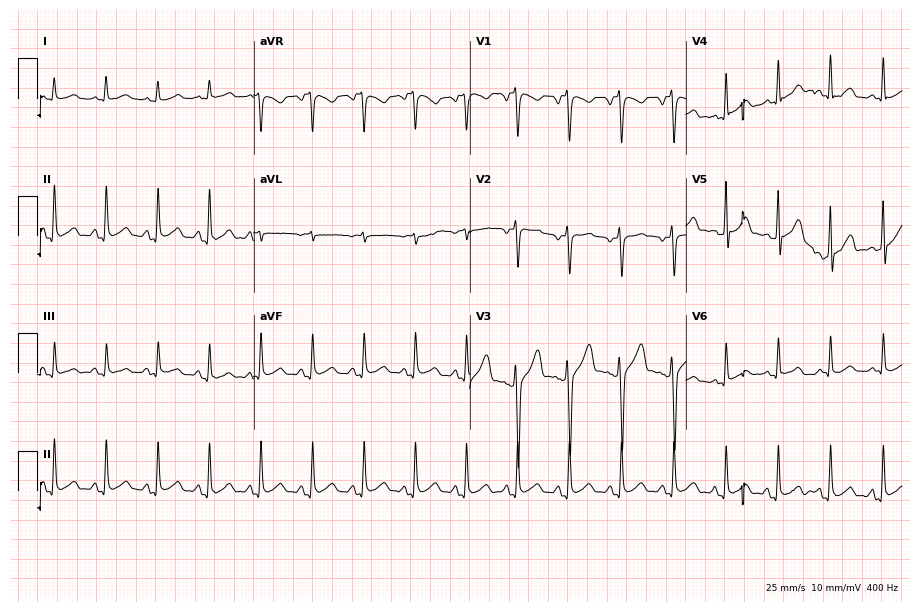
12-lead ECG (8.8-second recording at 400 Hz) from a 20-year-old male. Findings include sinus tachycardia (a sinus rate of 100 beats per minute or more).